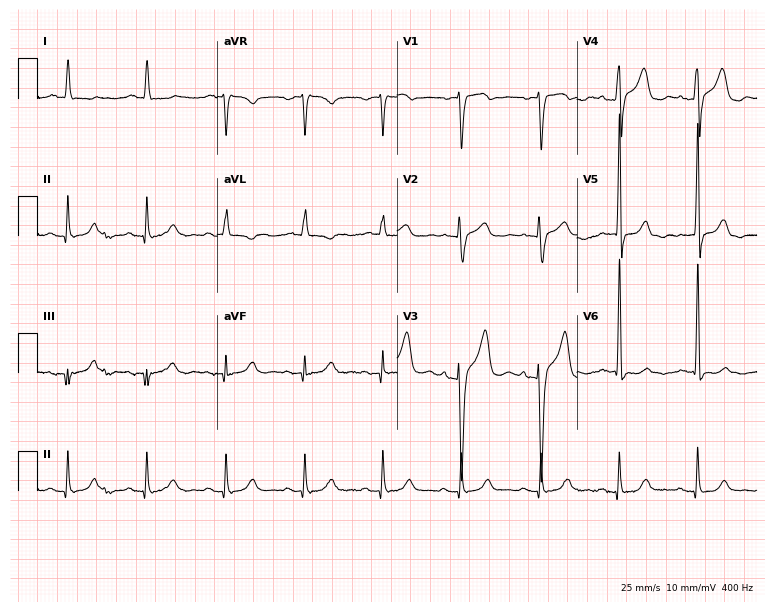
Electrocardiogram, a man, 69 years old. Of the six screened findings (first-degree AV block, right bundle branch block, left bundle branch block, sinus bradycardia, atrial fibrillation, sinus tachycardia), none is recorded. Only these six findings were labelled.